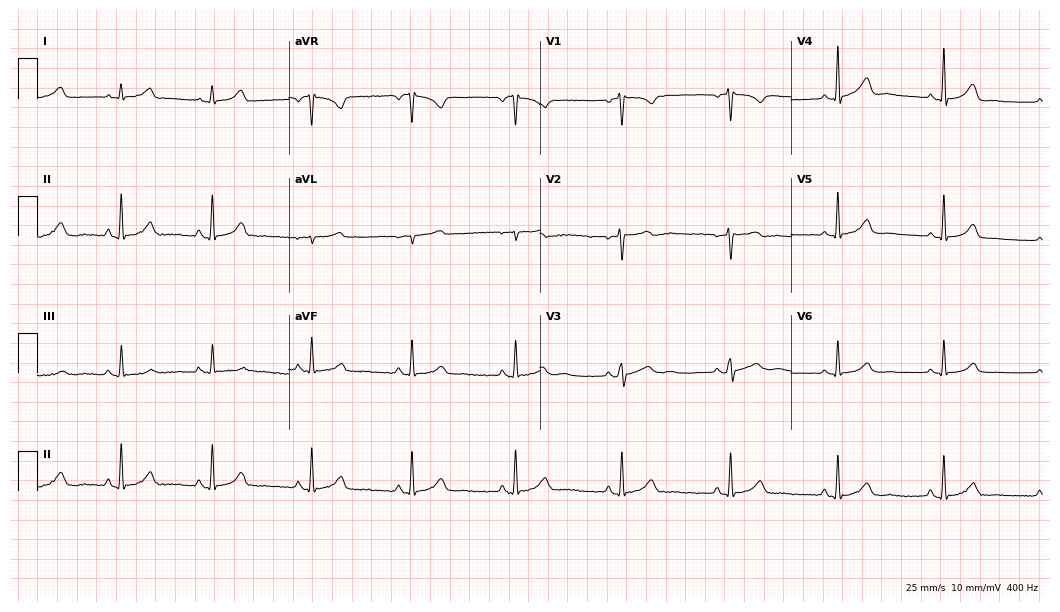
12-lead ECG (10.2-second recording at 400 Hz) from a 45-year-old woman. Labelled as a normal ECG.